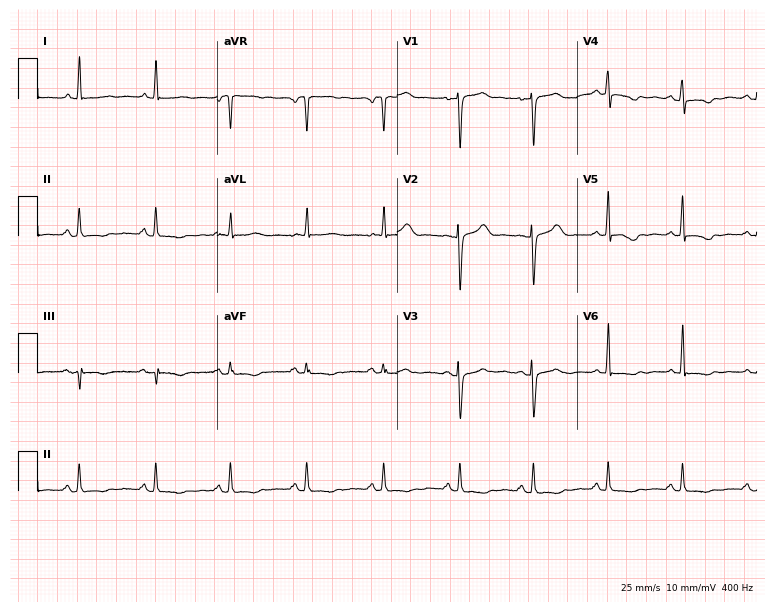
Electrocardiogram, a 54-year-old female patient. Of the six screened findings (first-degree AV block, right bundle branch block, left bundle branch block, sinus bradycardia, atrial fibrillation, sinus tachycardia), none is recorded.